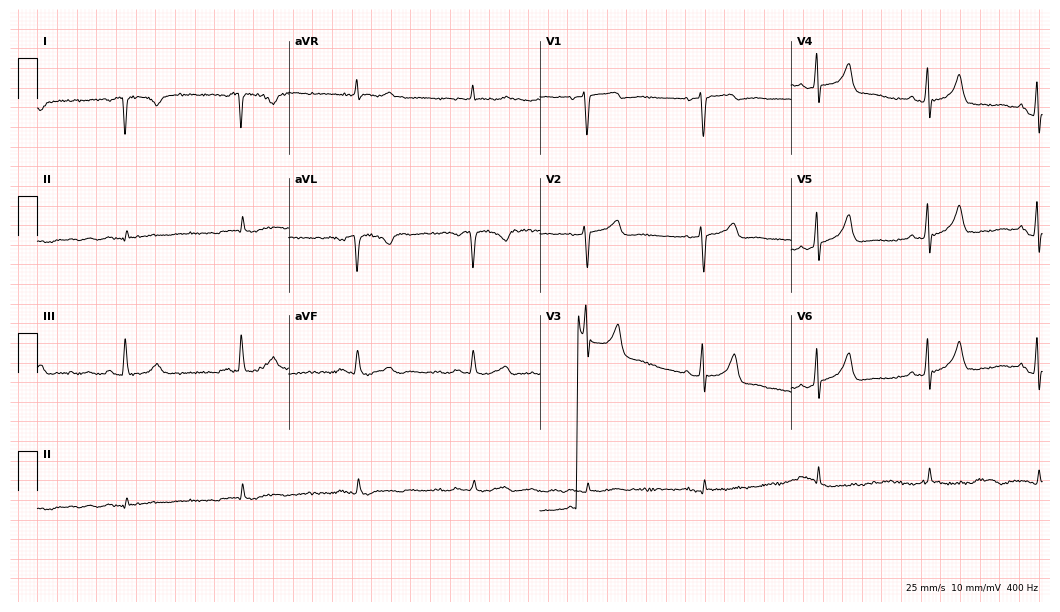
12-lead ECG from a male patient, 77 years old. No first-degree AV block, right bundle branch block (RBBB), left bundle branch block (LBBB), sinus bradycardia, atrial fibrillation (AF) or sinus tachycardia recorded for this tracing. Other findings, if any, are not listed.